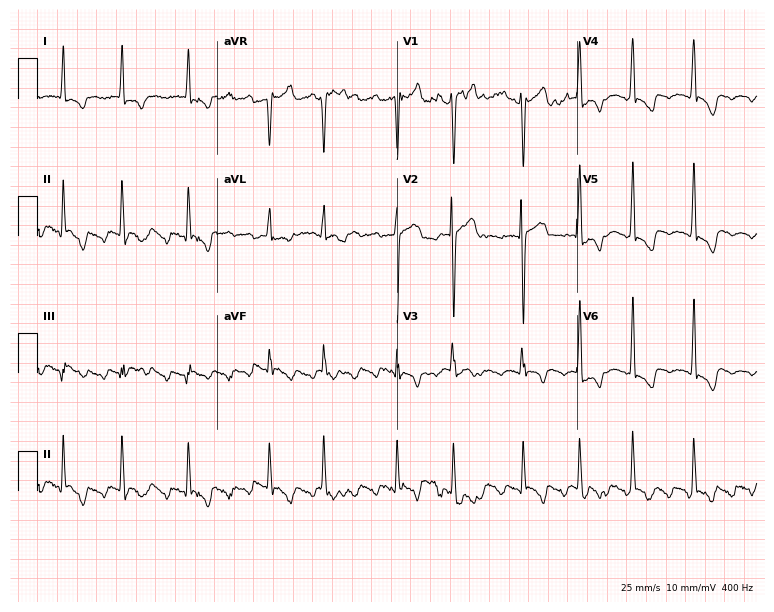
ECG (7.3-second recording at 400 Hz) — a 78-year-old male. Screened for six findings — first-degree AV block, right bundle branch block, left bundle branch block, sinus bradycardia, atrial fibrillation, sinus tachycardia — none is recorded.